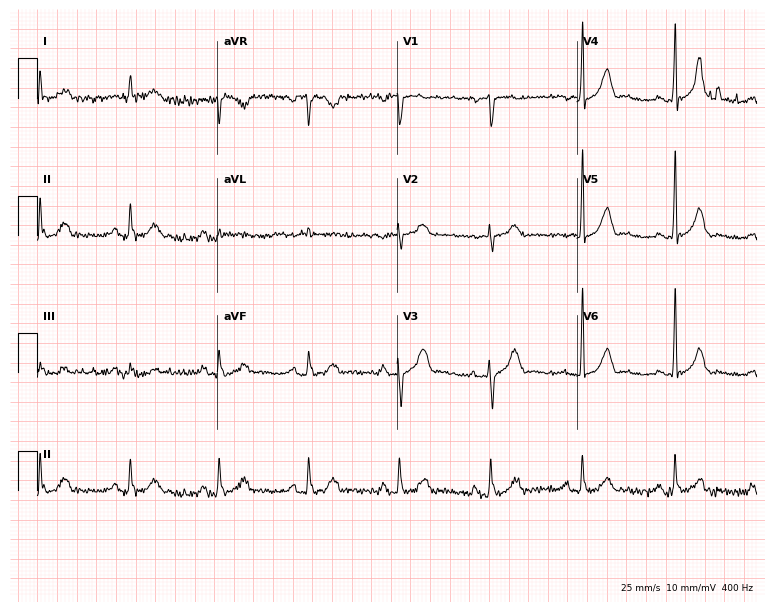
Resting 12-lead electrocardiogram. Patient: a male, 68 years old. None of these six findings is recorded: first-degree AV block, right bundle branch block, left bundle branch block, sinus bradycardia, atrial fibrillation, sinus tachycardia. Other findings, if any, are not listed.